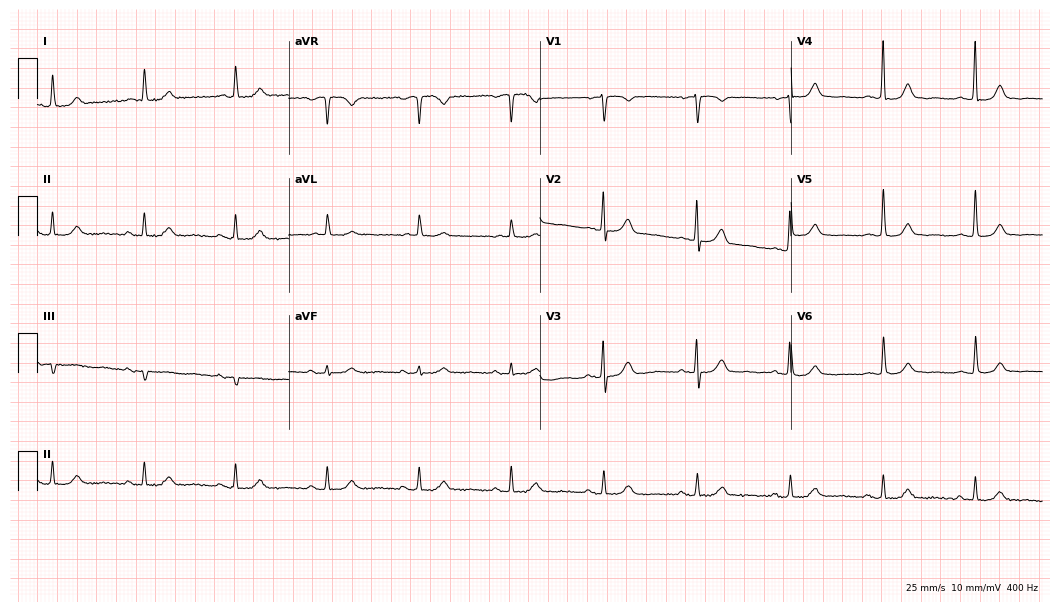
Resting 12-lead electrocardiogram (10.2-second recording at 400 Hz). Patient: a 79-year-old female. None of these six findings is recorded: first-degree AV block, right bundle branch block, left bundle branch block, sinus bradycardia, atrial fibrillation, sinus tachycardia. Findings outside these six are not listed.